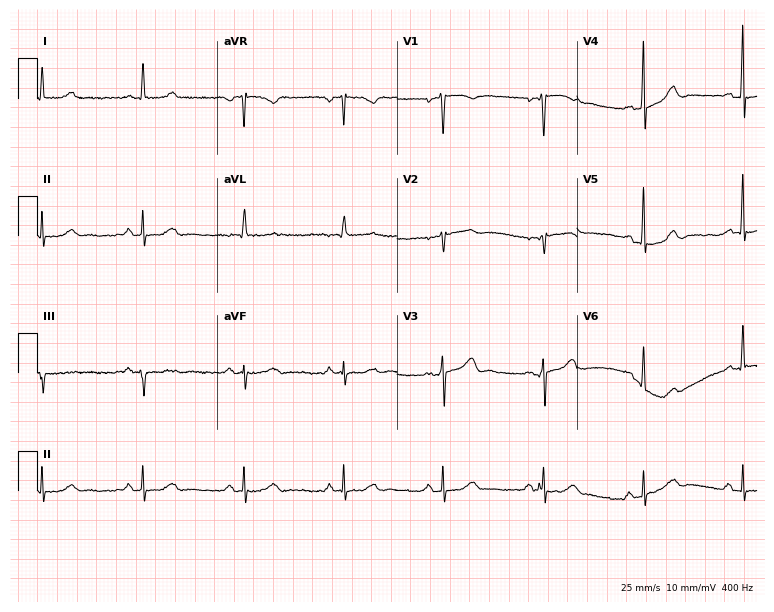
Standard 12-lead ECG recorded from a female patient, 54 years old. Read as a normal ECG.